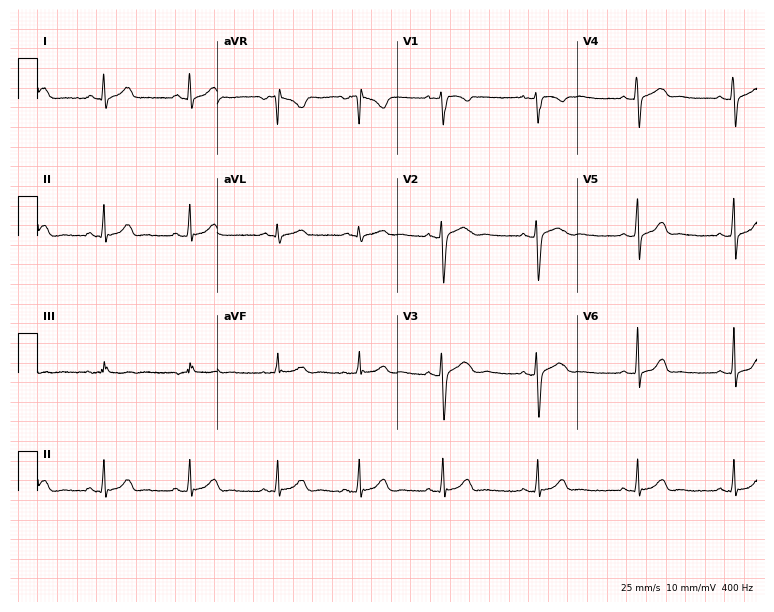
12-lead ECG from a female, 26 years old. No first-degree AV block, right bundle branch block, left bundle branch block, sinus bradycardia, atrial fibrillation or sinus tachycardia recorded for this tracing.